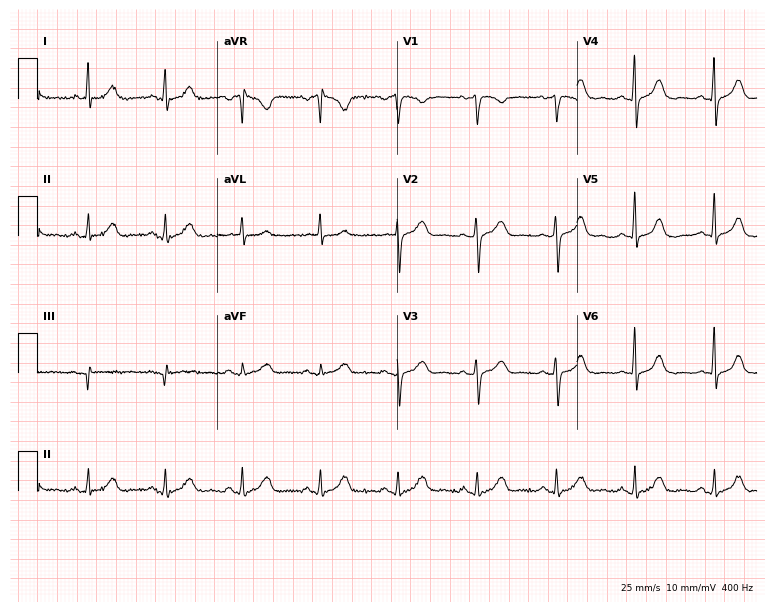
Standard 12-lead ECG recorded from a woman, 57 years old. Read as a normal ECG.